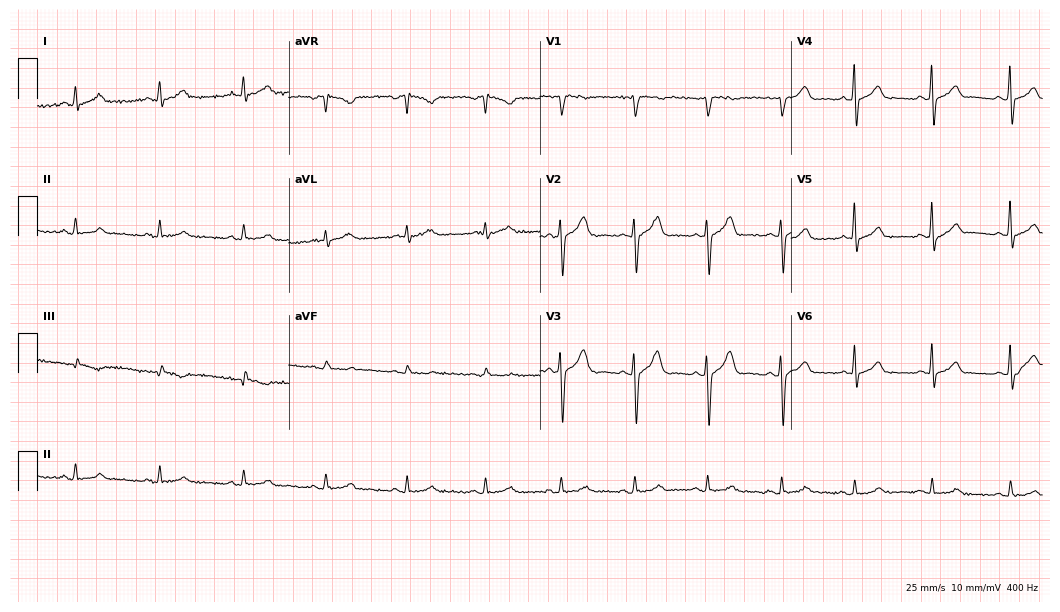
Electrocardiogram (10.2-second recording at 400 Hz), a male patient, 52 years old. Overall reading on record: normal ECG.